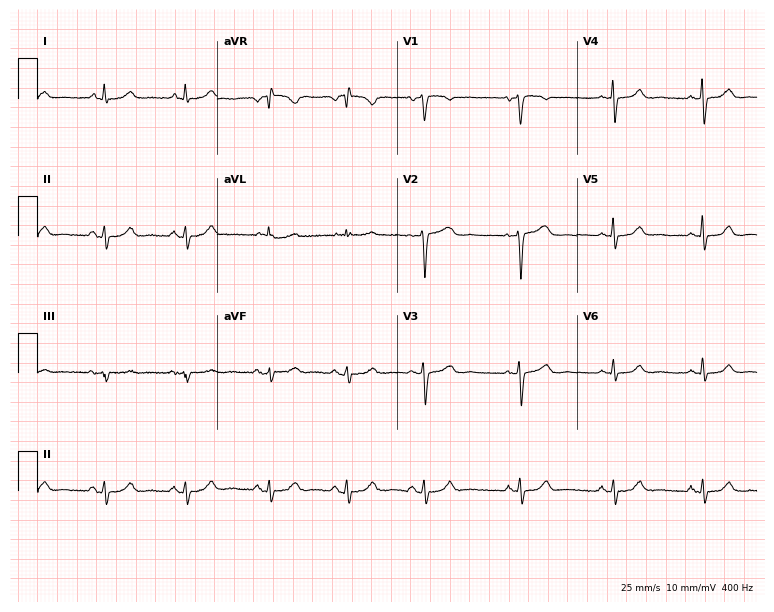
ECG — a 62-year-old female patient. Screened for six findings — first-degree AV block, right bundle branch block, left bundle branch block, sinus bradycardia, atrial fibrillation, sinus tachycardia — none is recorded. Other findings, if any, are not listed.